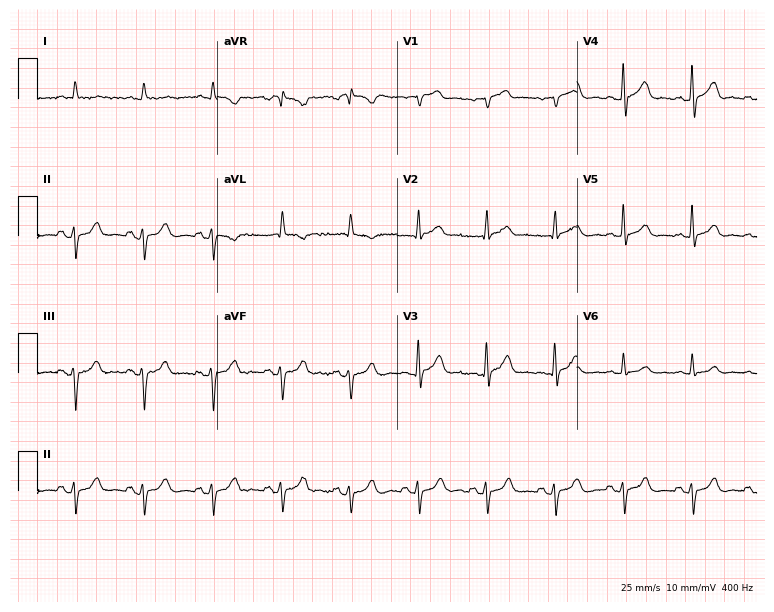
Resting 12-lead electrocardiogram (7.3-second recording at 400 Hz). Patient: an 85-year-old male. None of these six findings is recorded: first-degree AV block, right bundle branch block (RBBB), left bundle branch block (LBBB), sinus bradycardia, atrial fibrillation (AF), sinus tachycardia. Other findings, if any, are not listed.